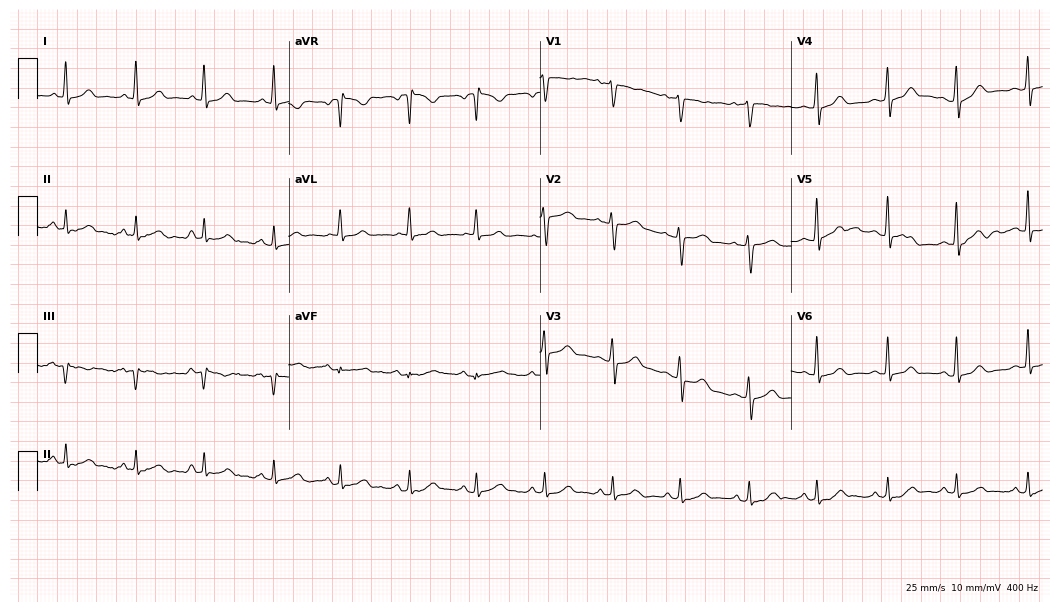
Standard 12-lead ECG recorded from a 33-year-old female patient. Read as a normal ECG.